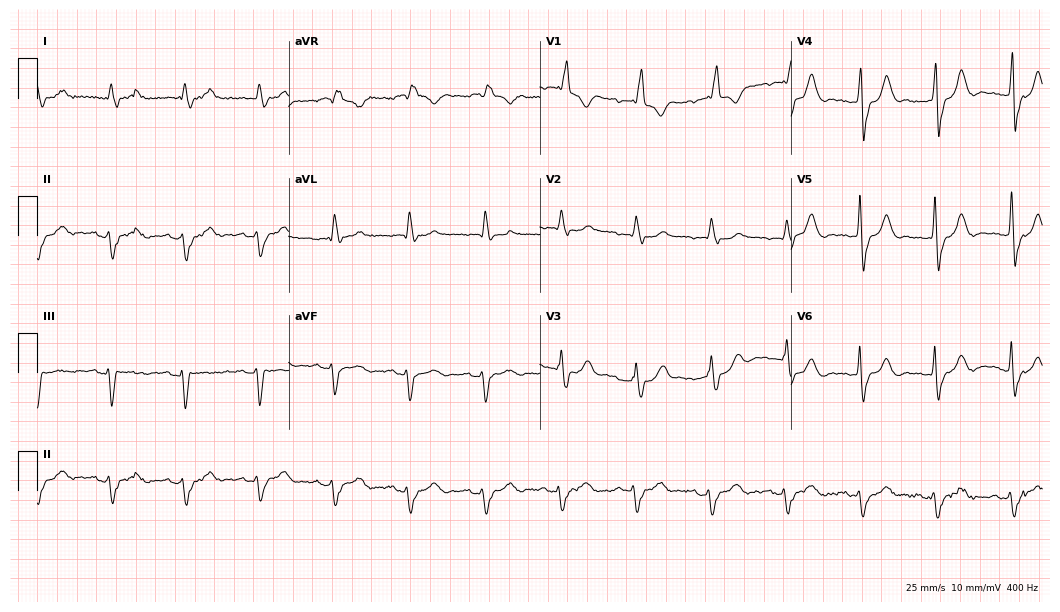
Electrocardiogram, an 82-year-old man. Of the six screened findings (first-degree AV block, right bundle branch block, left bundle branch block, sinus bradycardia, atrial fibrillation, sinus tachycardia), none is recorded. Findings outside these six are not listed.